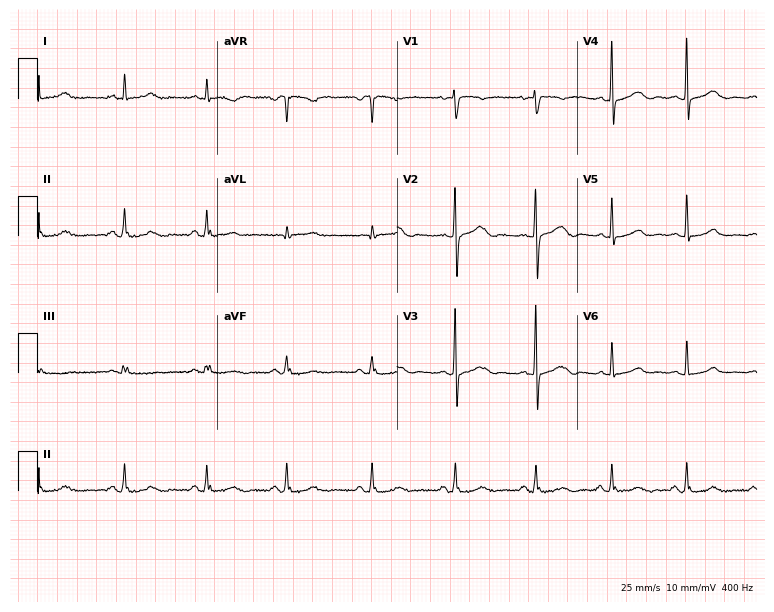
ECG — a 29-year-old female. Labelled as a normal ECG.